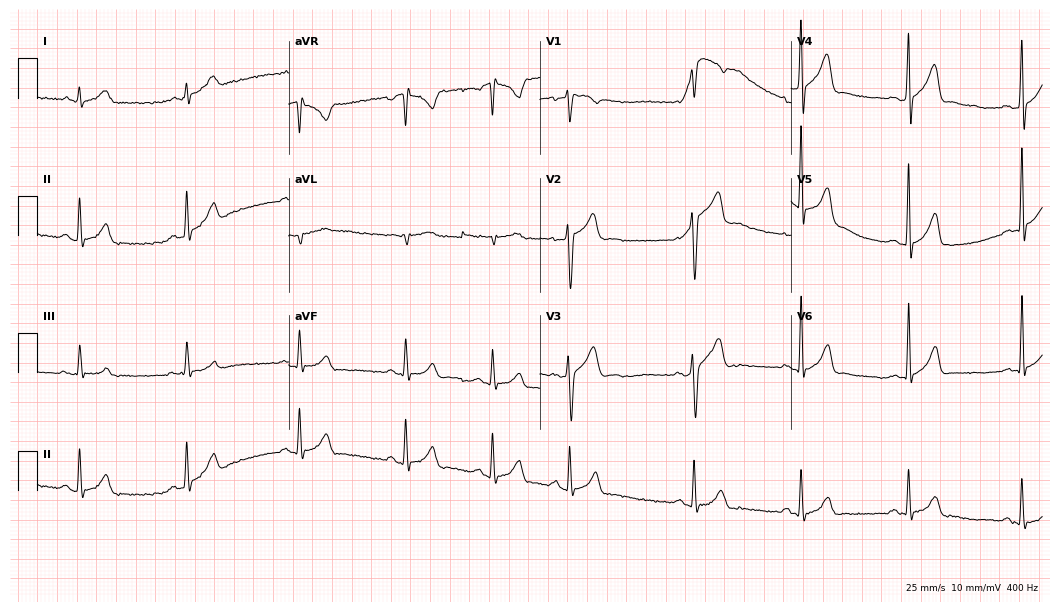
12-lead ECG (10.2-second recording at 400 Hz) from a 28-year-old man. Screened for six findings — first-degree AV block, right bundle branch block (RBBB), left bundle branch block (LBBB), sinus bradycardia, atrial fibrillation (AF), sinus tachycardia — none is recorded. Findings outside these six are not listed.